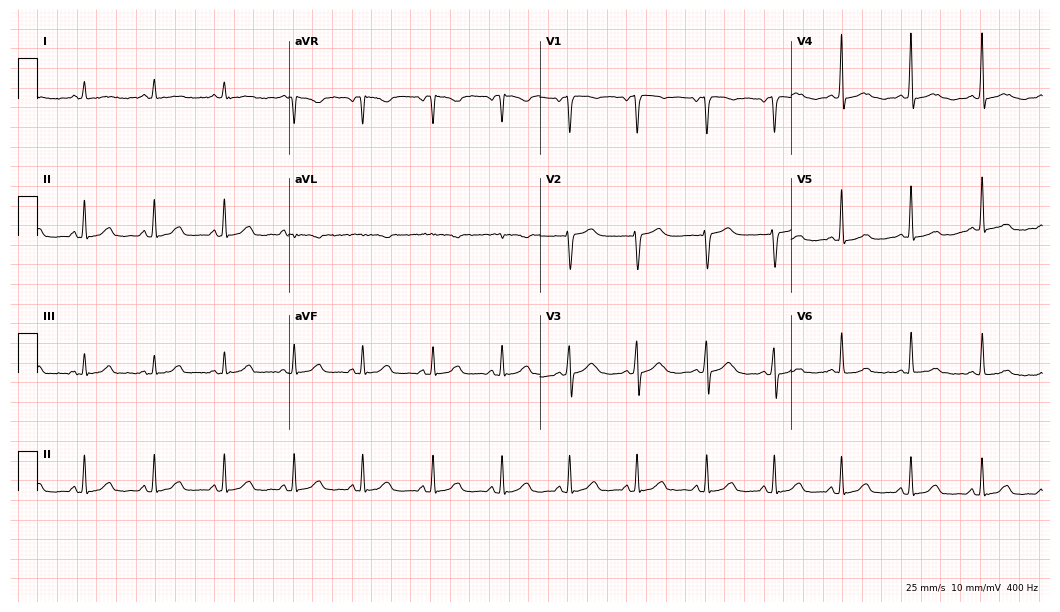
12-lead ECG (10.2-second recording at 400 Hz) from a female, 47 years old. Labelled as a normal ECG.